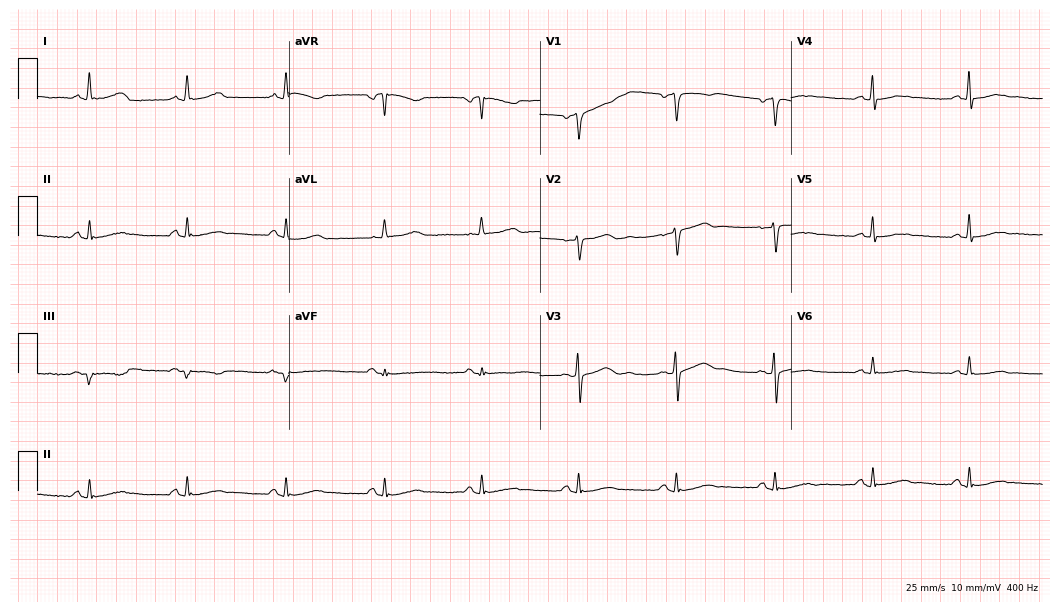
Resting 12-lead electrocardiogram. Patient: a female, 62 years old. None of these six findings is recorded: first-degree AV block, right bundle branch block, left bundle branch block, sinus bradycardia, atrial fibrillation, sinus tachycardia.